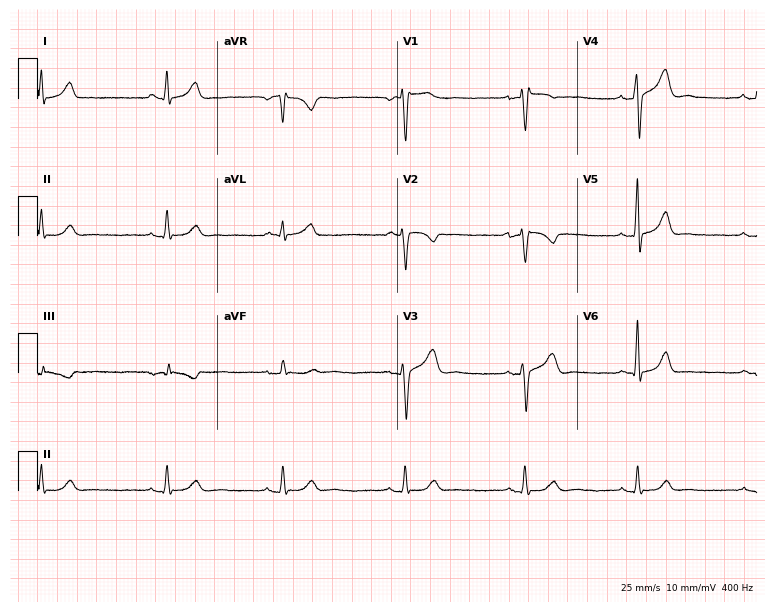
Electrocardiogram (7.3-second recording at 400 Hz), a female, 26 years old. Interpretation includes sinus bradycardia (a sinus rate of 50 beats per minute or less).